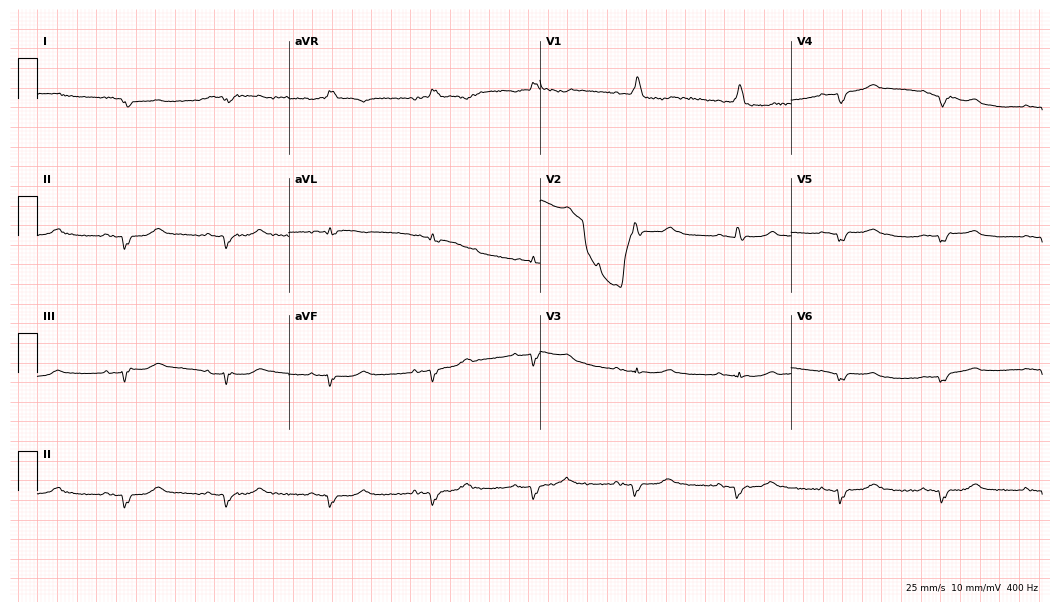
12-lead ECG from a woman, 72 years old (10.2-second recording at 400 Hz). No first-degree AV block, right bundle branch block (RBBB), left bundle branch block (LBBB), sinus bradycardia, atrial fibrillation (AF) or sinus tachycardia recorded for this tracing.